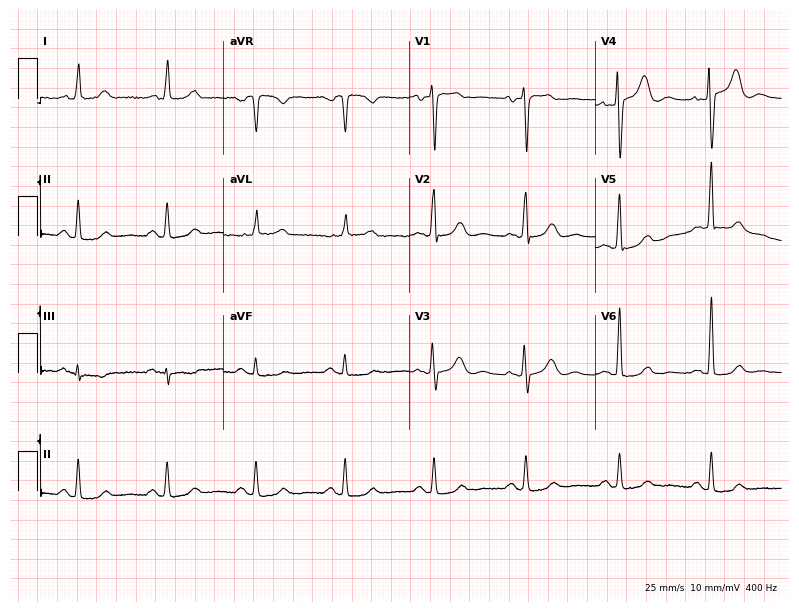
12-lead ECG (7.6-second recording at 400 Hz) from a female, 77 years old. Screened for six findings — first-degree AV block, right bundle branch block, left bundle branch block, sinus bradycardia, atrial fibrillation, sinus tachycardia — none is recorded.